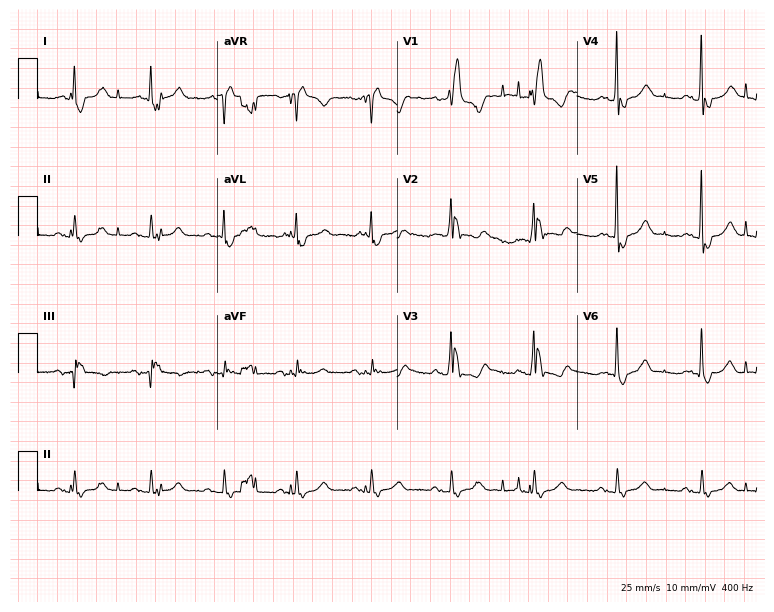
ECG — a male patient, 68 years old. Findings include right bundle branch block.